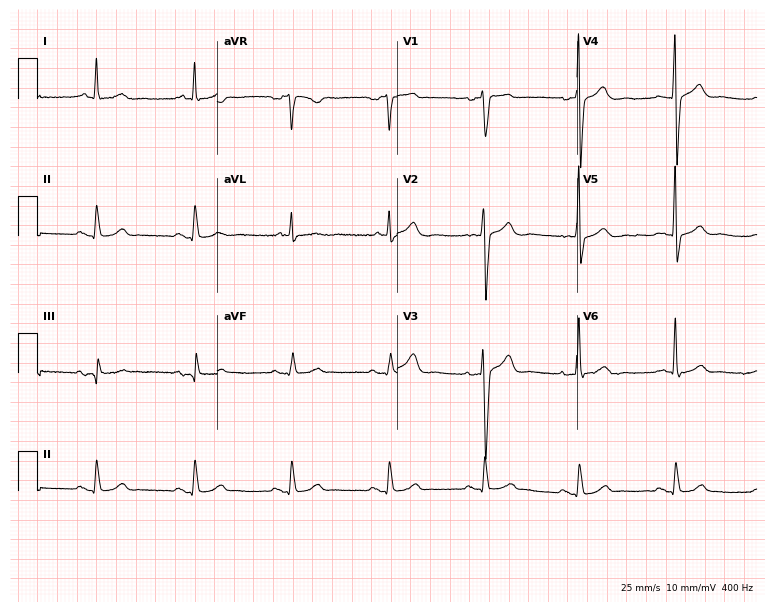
Electrocardiogram (7.3-second recording at 400 Hz), a 57-year-old male. Overall reading on record: normal ECG.